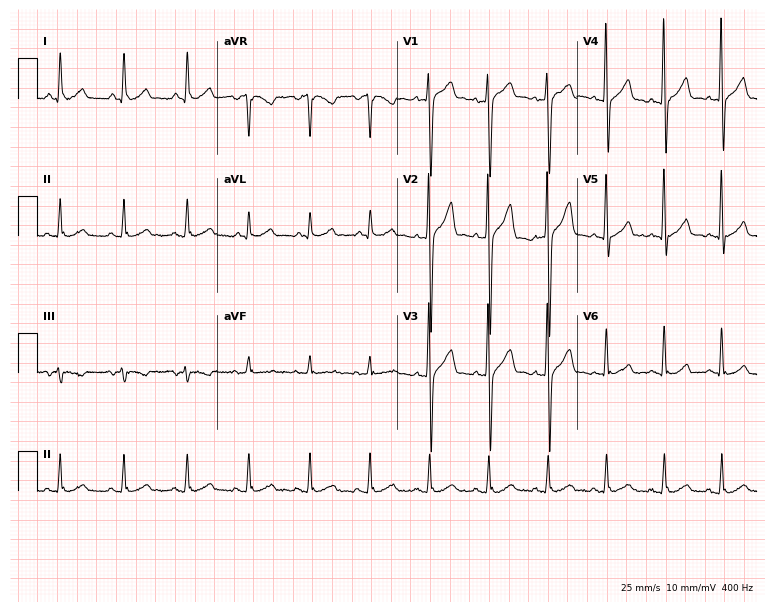
Electrocardiogram (7.3-second recording at 400 Hz), a 49-year-old male. Overall reading on record: normal ECG.